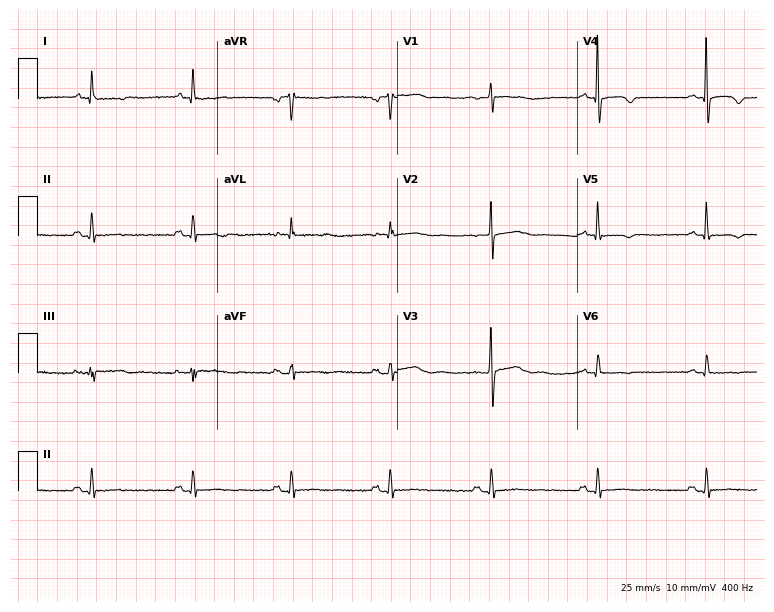
Electrocardiogram (7.3-second recording at 400 Hz), a 73-year-old female patient. Of the six screened findings (first-degree AV block, right bundle branch block (RBBB), left bundle branch block (LBBB), sinus bradycardia, atrial fibrillation (AF), sinus tachycardia), none is recorded. Findings outside these six are not listed.